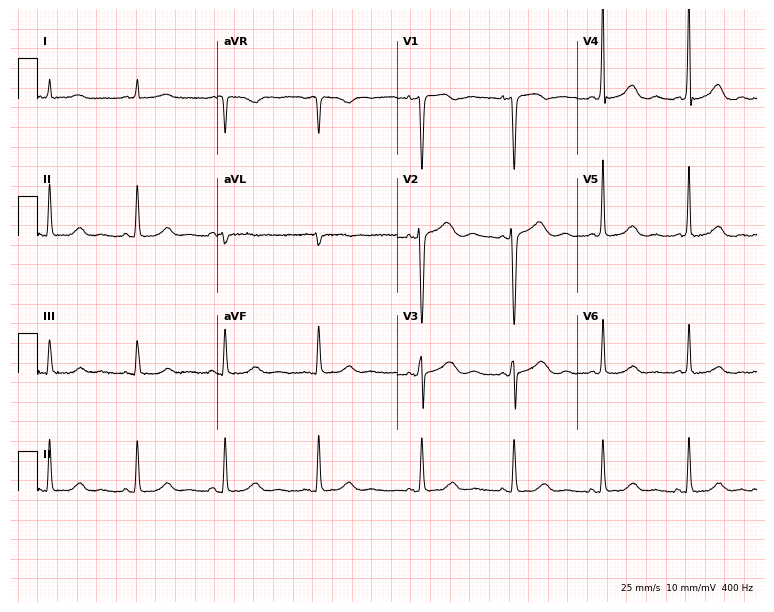
Standard 12-lead ECG recorded from a female, 81 years old (7.3-second recording at 400 Hz). None of these six findings is recorded: first-degree AV block, right bundle branch block (RBBB), left bundle branch block (LBBB), sinus bradycardia, atrial fibrillation (AF), sinus tachycardia. Findings outside these six are not listed.